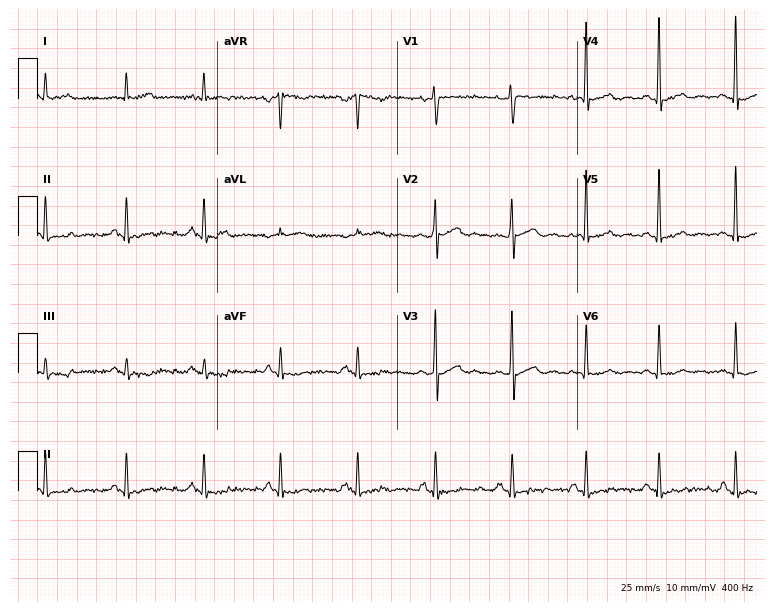
12-lead ECG from a male patient, 59 years old. No first-degree AV block, right bundle branch block (RBBB), left bundle branch block (LBBB), sinus bradycardia, atrial fibrillation (AF) or sinus tachycardia recorded for this tracing. Only these six findings were labelled.